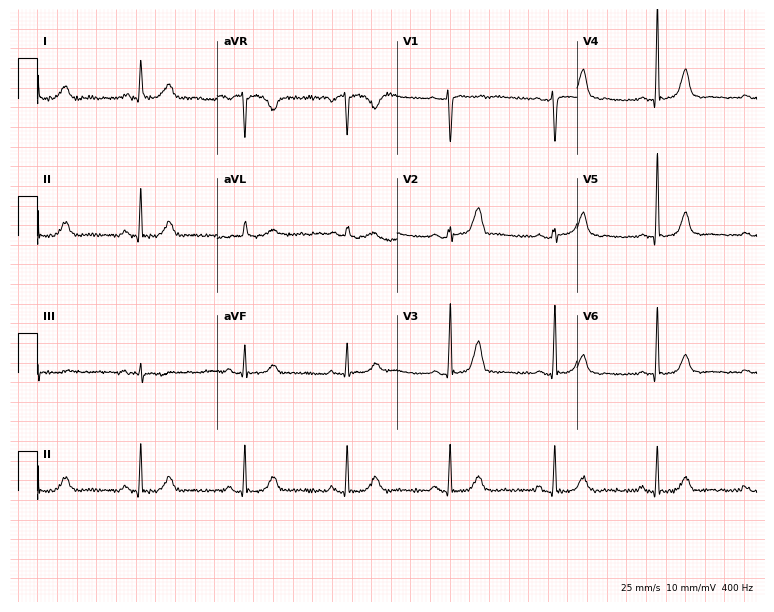
Resting 12-lead electrocardiogram. Patient: a 66-year-old female. Read as a normal ECG.